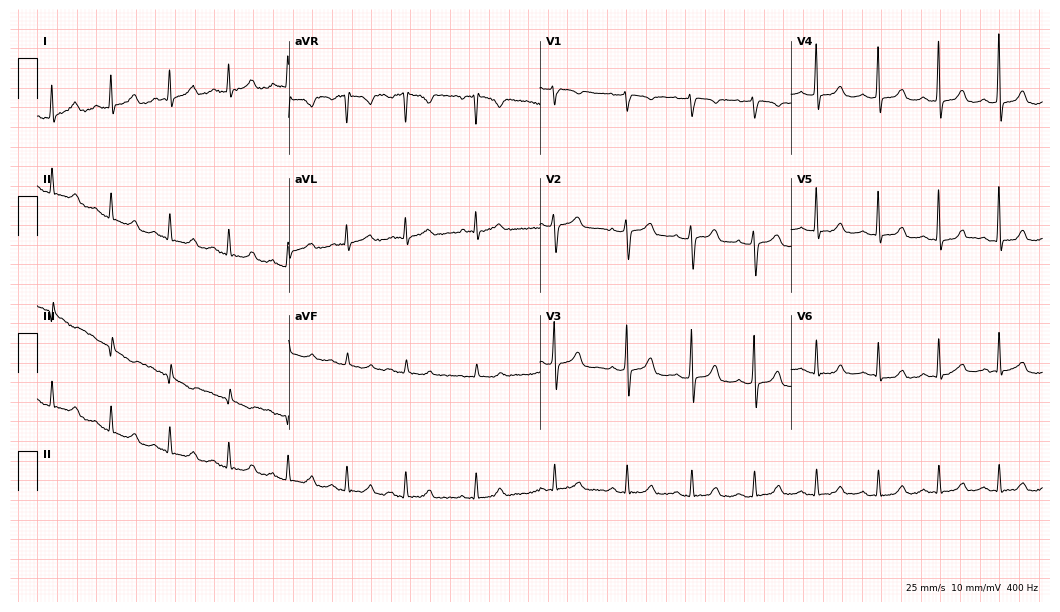
12-lead ECG from a female patient, 55 years old. Recorded interpretation: within normal limits.